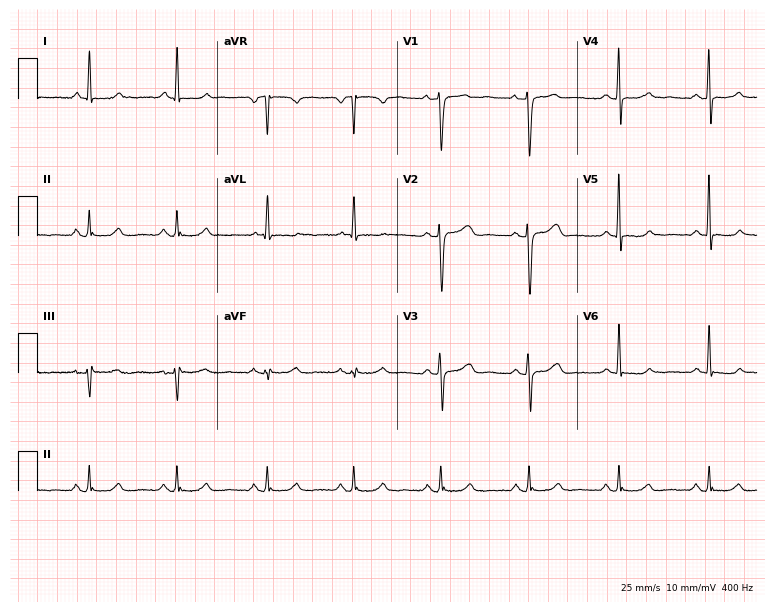
ECG (7.3-second recording at 400 Hz) — a woman, 52 years old. Screened for six findings — first-degree AV block, right bundle branch block, left bundle branch block, sinus bradycardia, atrial fibrillation, sinus tachycardia — none is recorded.